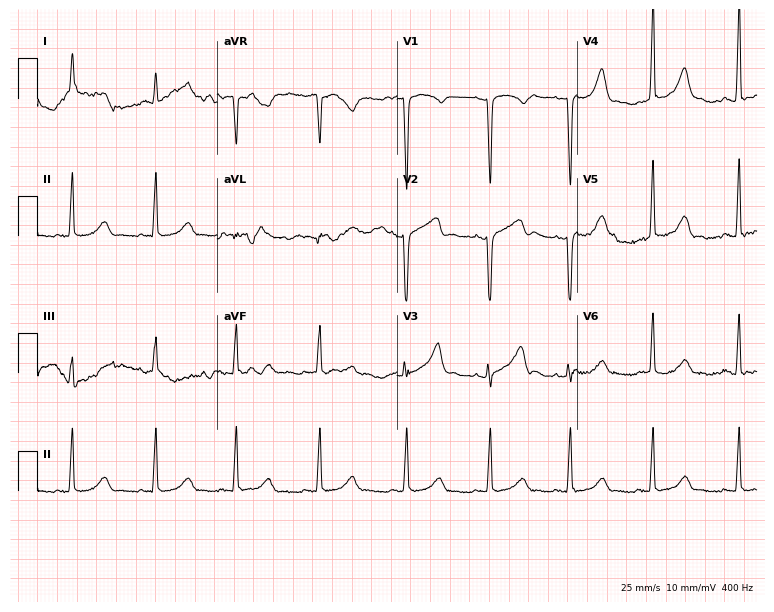
ECG — a woman, 38 years old. Labelled as a normal ECG.